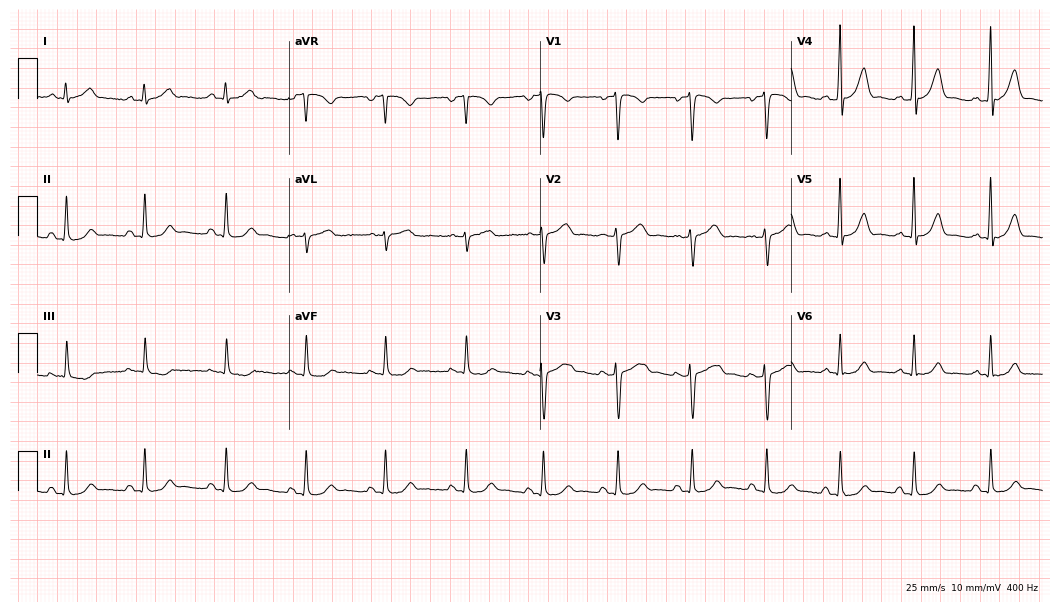
12-lead ECG from a woman, 30 years old (10.2-second recording at 400 Hz). Recorded interpretation: within normal limits.